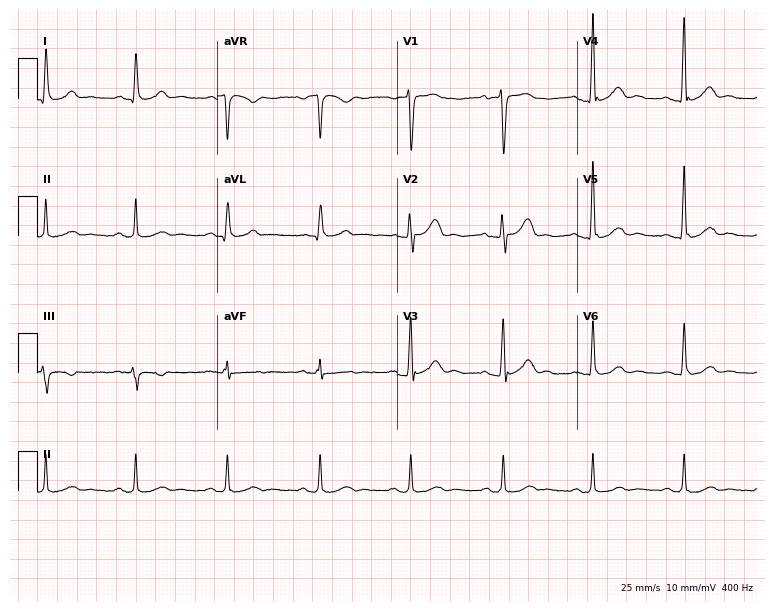
Electrocardiogram, a 43-year-old male patient. Of the six screened findings (first-degree AV block, right bundle branch block, left bundle branch block, sinus bradycardia, atrial fibrillation, sinus tachycardia), none is recorded. Other findings, if any, are not listed.